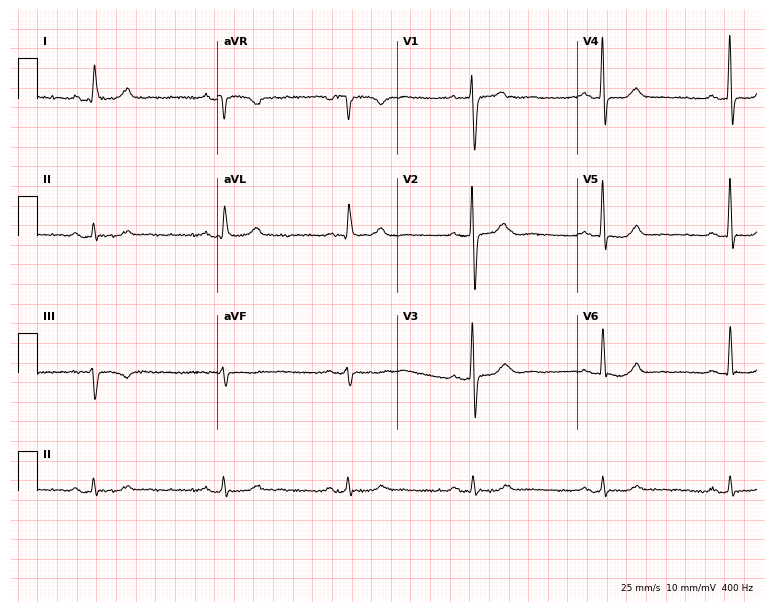
12-lead ECG (7.3-second recording at 400 Hz) from a man, 80 years old. Findings include sinus bradycardia (a sinus rate of 50 beats per minute or less).